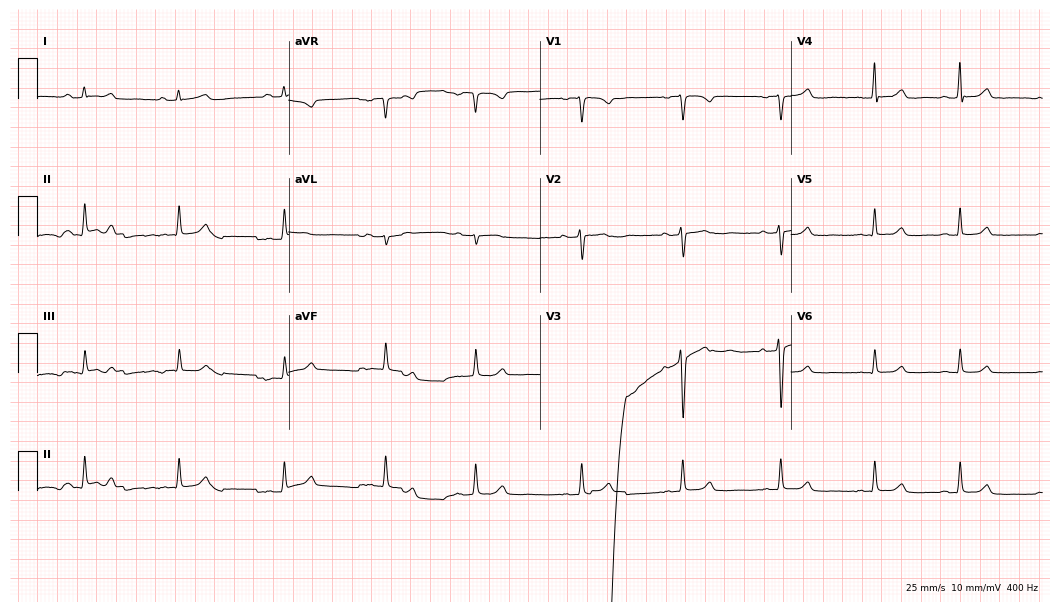
Resting 12-lead electrocardiogram. Patient: a female, 42 years old. None of these six findings is recorded: first-degree AV block, right bundle branch block, left bundle branch block, sinus bradycardia, atrial fibrillation, sinus tachycardia. Other findings, if any, are not listed.